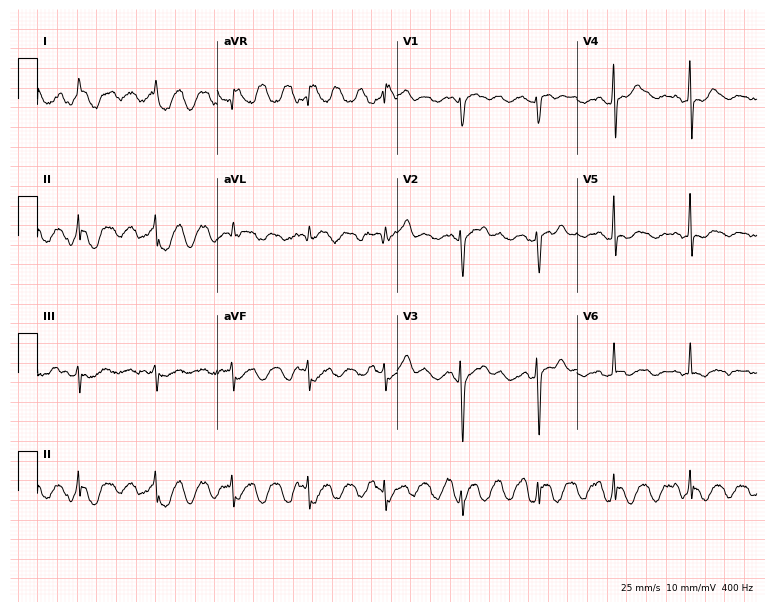
Resting 12-lead electrocardiogram (7.3-second recording at 400 Hz). Patient: an 82-year-old male. None of these six findings is recorded: first-degree AV block, right bundle branch block, left bundle branch block, sinus bradycardia, atrial fibrillation, sinus tachycardia.